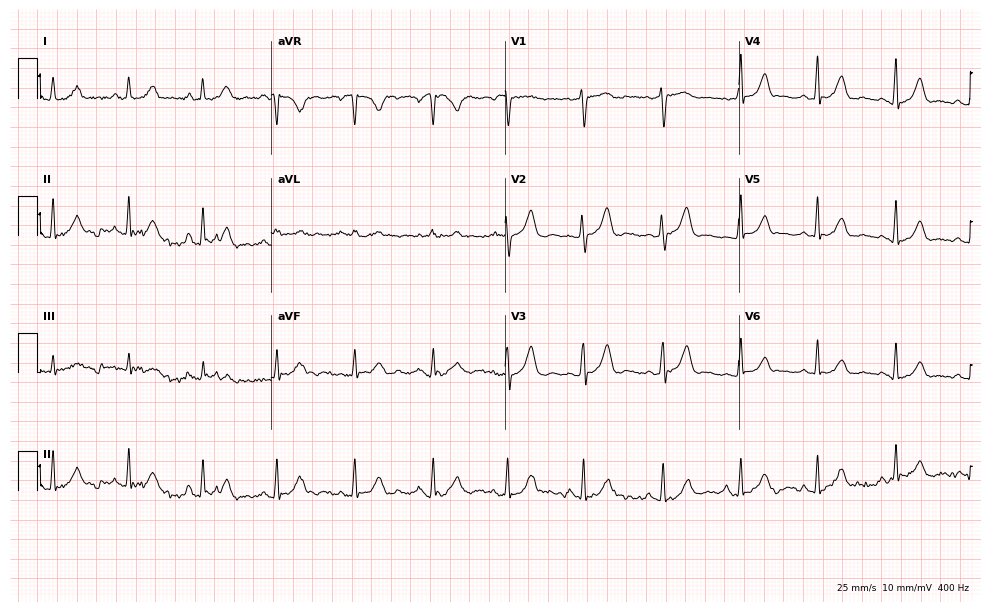
ECG (9.5-second recording at 400 Hz) — a 33-year-old woman. Labelled as a normal ECG.